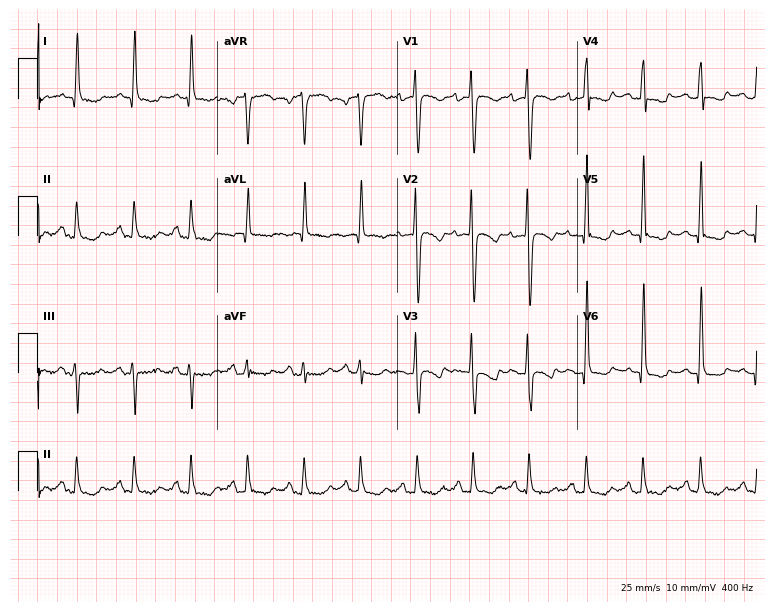
Electrocardiogram, a 67-year-old female. Of the six screened findings (first-degree AV block, right bundle branch block, left bundle branch block, sinus bradycardia, atrial fibrillation, sinus tachycardia), none is recorded. Other findings, if any, are not listed.